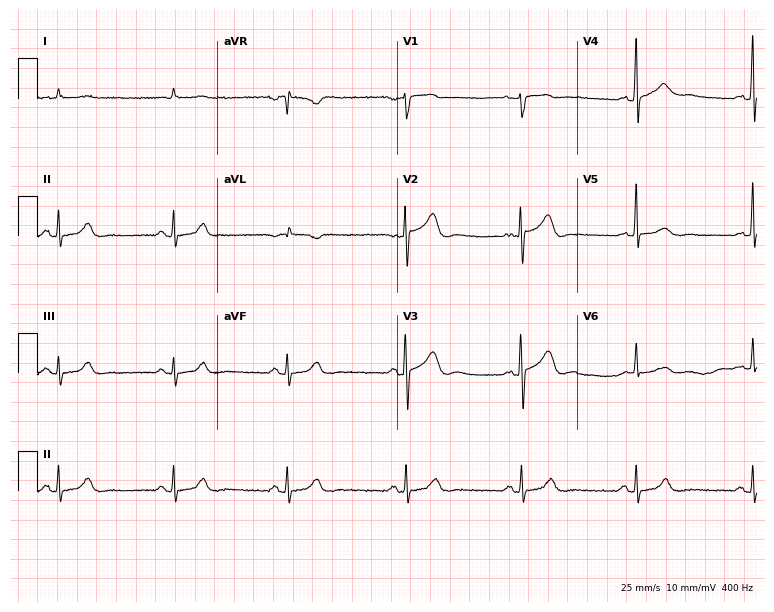
Electrocardiogram (7.3-second recording at 400 Hz), a male patient, 83 years old. Overall reading on record: normal ECG.